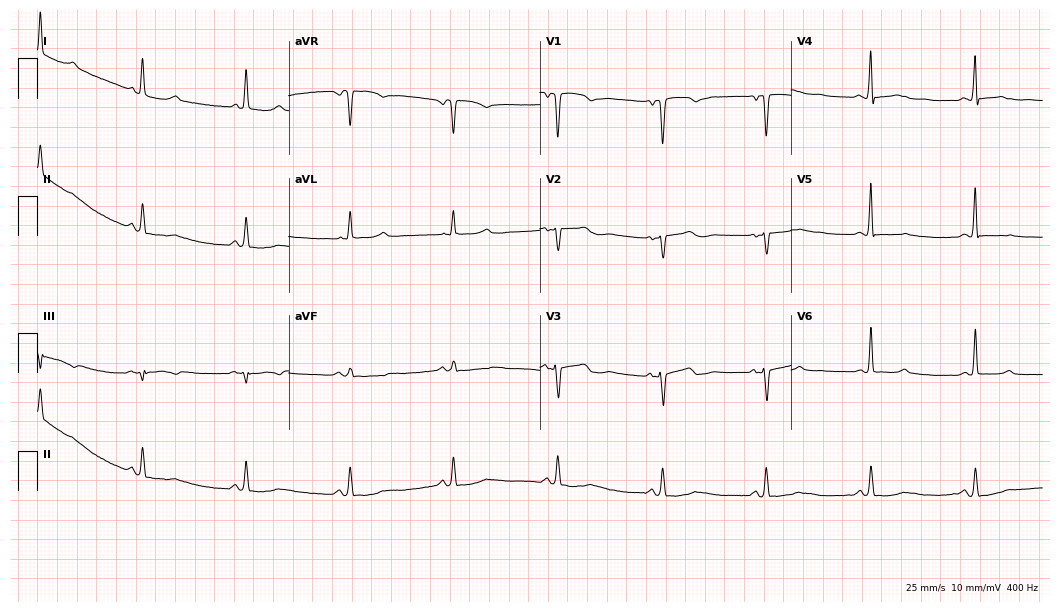
Standard 12-lead ECG recorded from a female, 55 years old. None of these six findings is recorded: first-degree AV block, right bundle branch block (RBBB), left bundle branch block (LBBB), sinus bradycardia, atrial fibrillation (AF), sinus tachycardia. Findings outside these six are not listed.